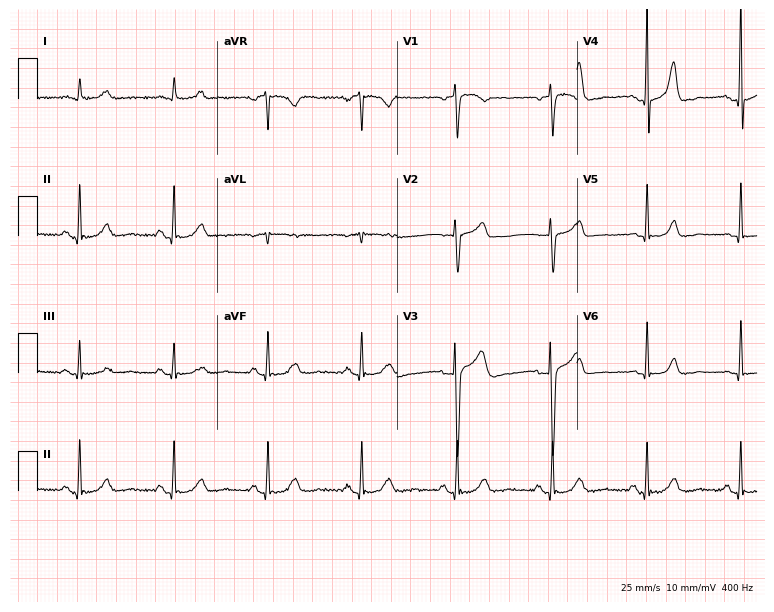
12-lead ECG (7.3-second recording at 400 Hz) from a 64-year-old female. Labelled as a normal ECG.